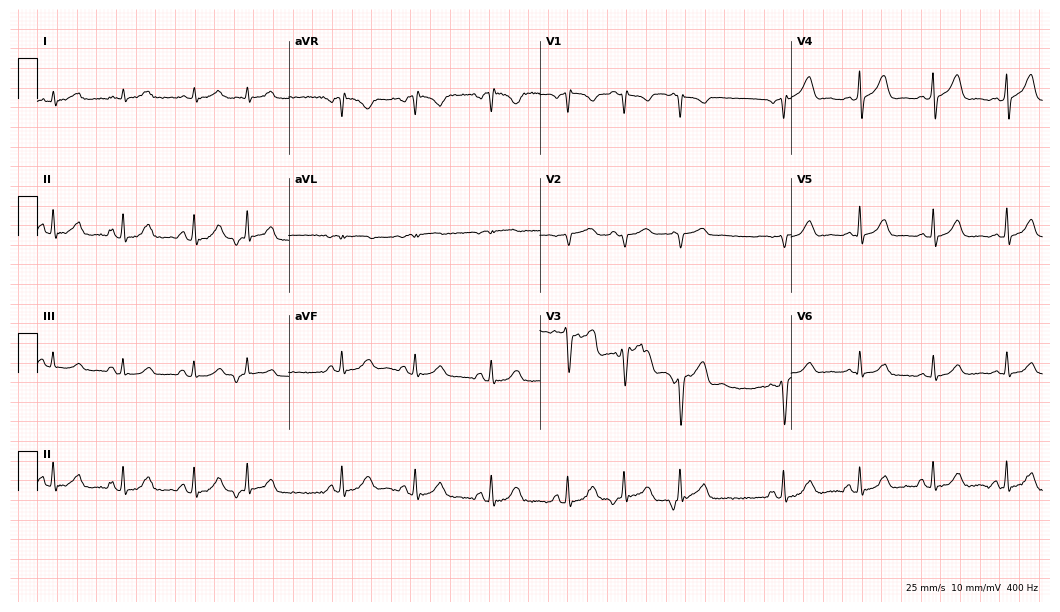
Resting 12-lead electrocardiogram. Patient: a male, 34 years old. None of these six findings is recorded: first-degree AV block, right bundle branch block, left bundle branch block, sinus bradycardia, atrial fibrillation, sinus tachycardia. Only these six findings were labelled.